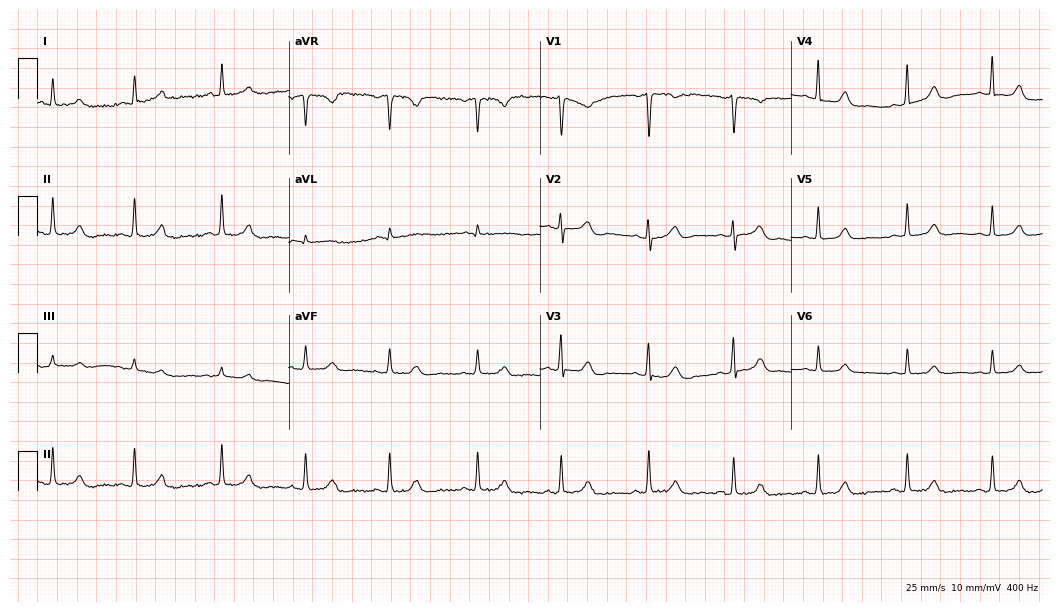
Standard 12-lead ECG recorded from a 33-year-old female (10.2-second recording at 400 Hz). Read as a normal ECG.